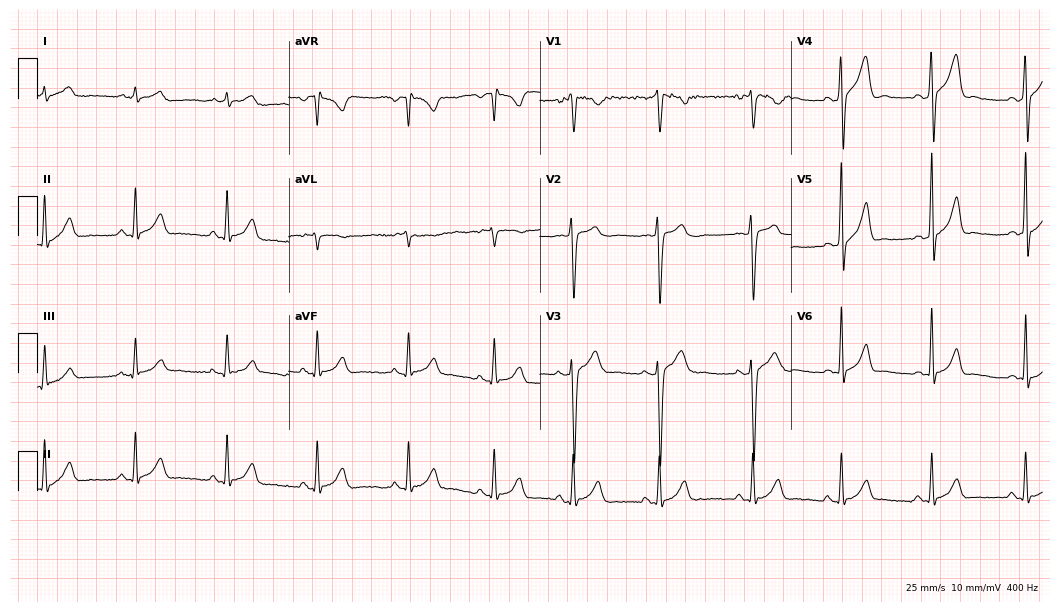
12-lead ECG from an 18-year-old male patient. Recorded interpretation: within normal limits.